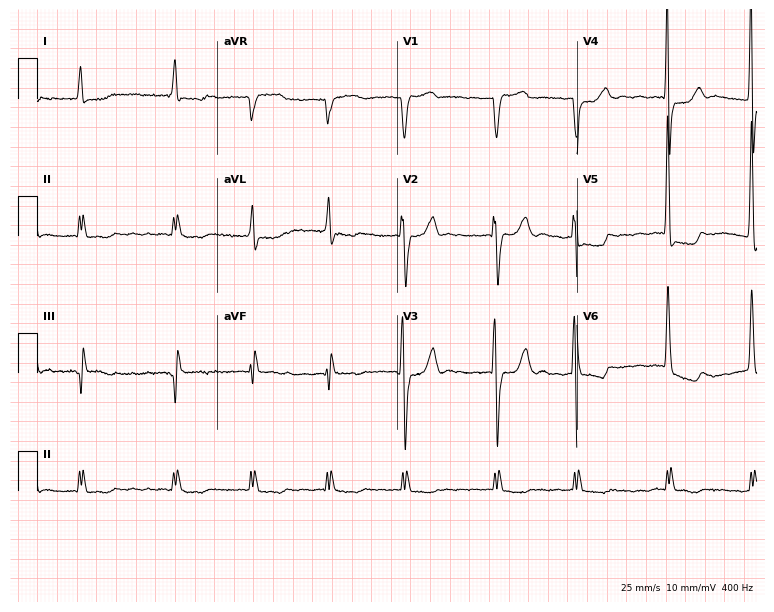
Standard 12-lead ECG recorded from an 85-year-old man (7.3-second recording at 400 Hz). The tracing shows atrial fibrillation (AF).